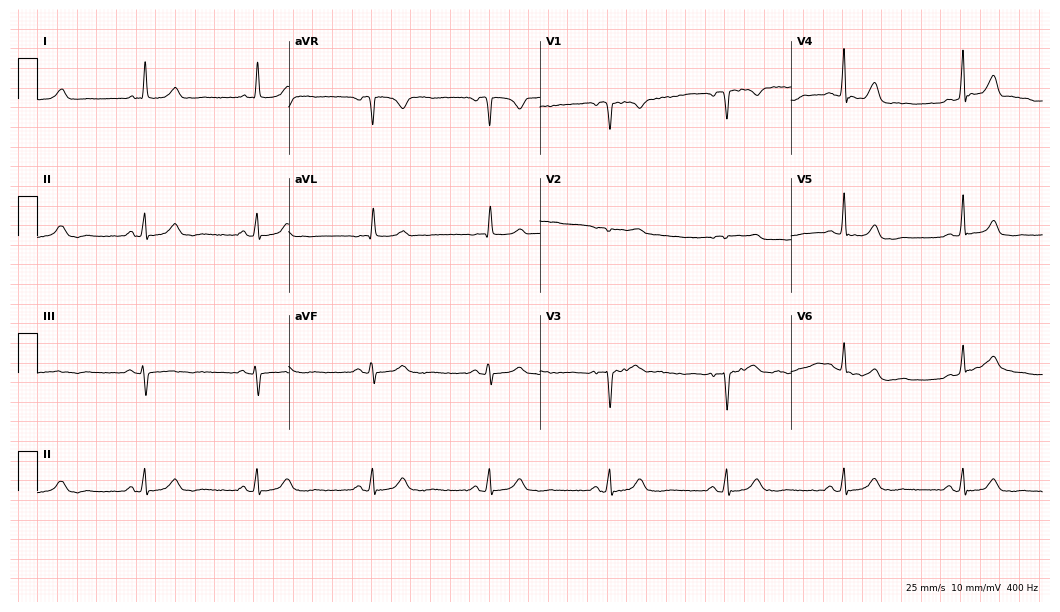
Resting 12-lead electrocardiogram. Patient: a 72-year-old woman. None of these six findings is recorded: first-degree AV block, right bundle branch block, left bundle branch block, sinus bradycardia, atrial fibrillation, sinus tachycardia. Only these six findings were labelled.